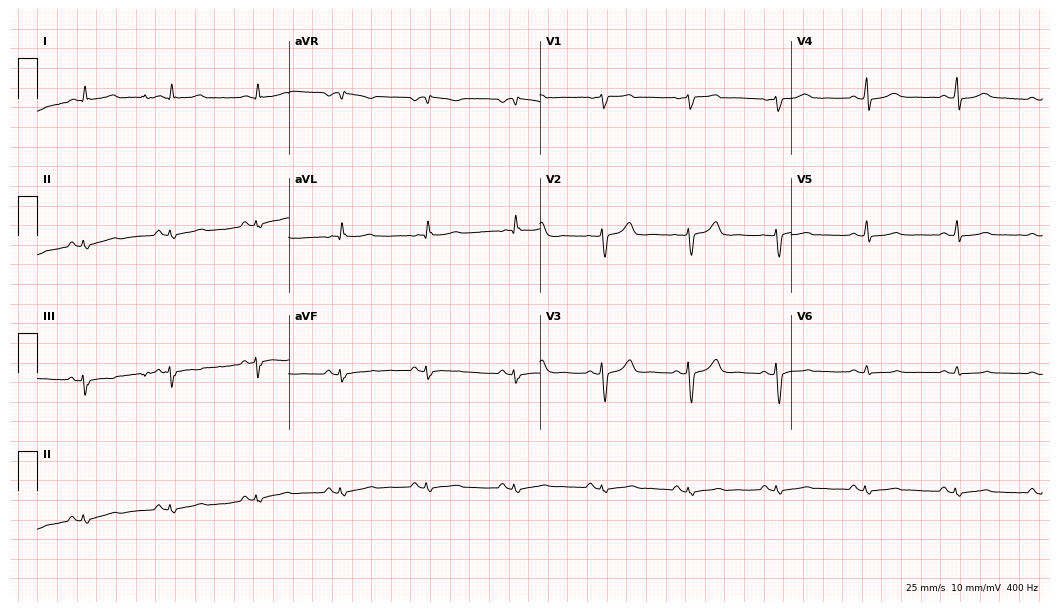
Resting 12-lead electrocardiogram (10.2-second recording at 400 Hz). Patient: a male, 58 years old. None of these six findings is recorded: first-degree AV block, right bundle branch block, left bundle branch block, sinus bradycardia, atrial fibrillation, sinus tachycardia.